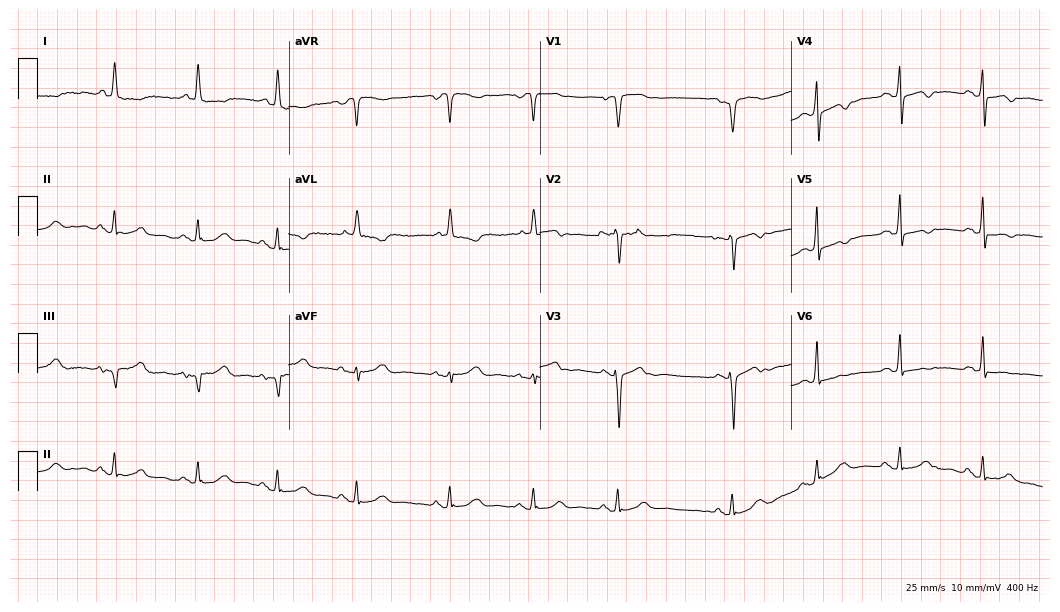
ECG — a woman, 68 years old. Screened for six findings — first-degree AV block, right bundle branch block (RBBB), left bundle branch block (LBBB), sinus bradycardia, atrial fibrillation (AF), sinus tachycardia — none is recorded.